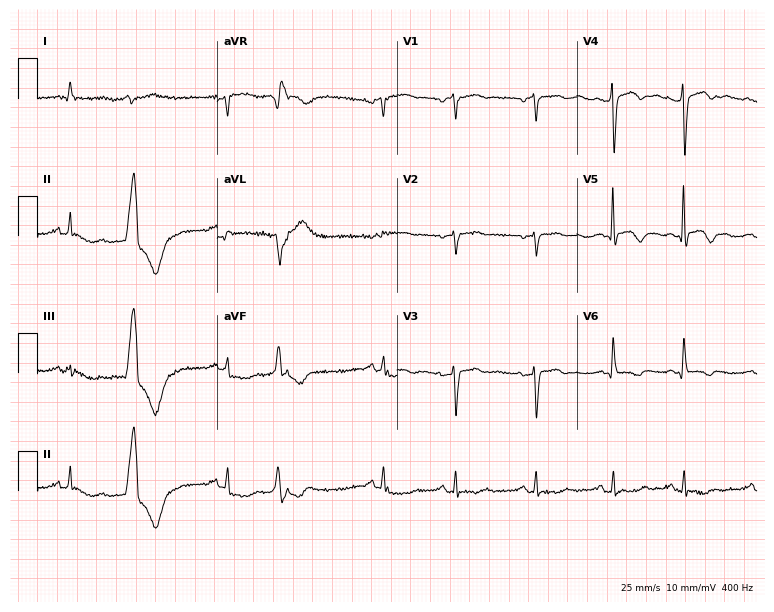
Electrocardiogram (7.3-second recording at 400 Hz), a female patient, 55 years old. Of the six screened findings (first-degree AV block, right bundle branch block, left bundle branch block, sinus bradycardia, atrial fibrillation, sinus tachycardia), none is recorded. Only these six findings were labelled.